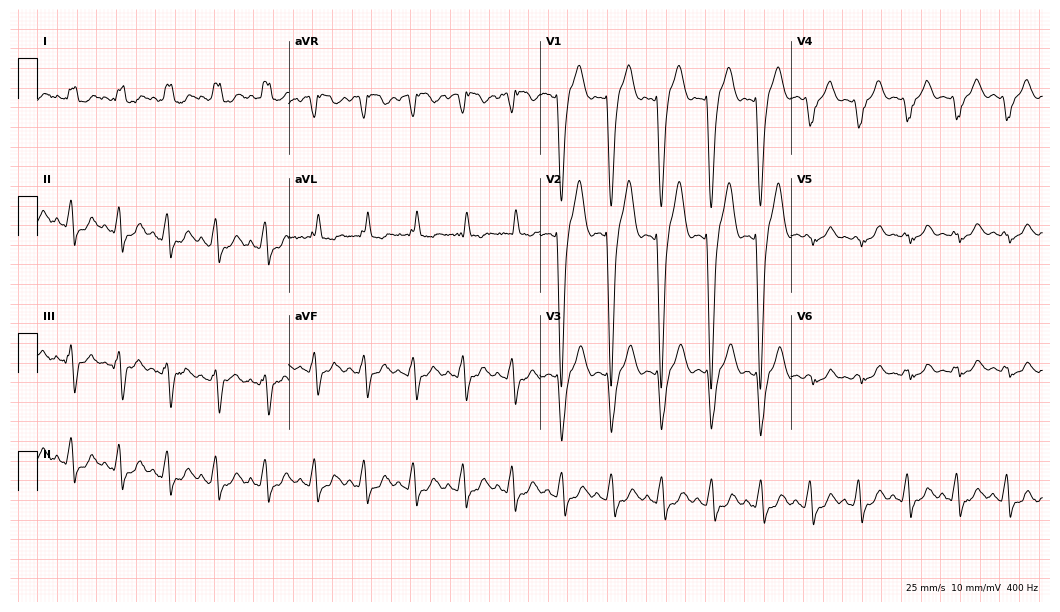
Electrocardiogram, a female patient, 47 years old. Interpretation includes left bundle branch block, sinus tachycardia (a sinus rate of 100 beats per minute or more).